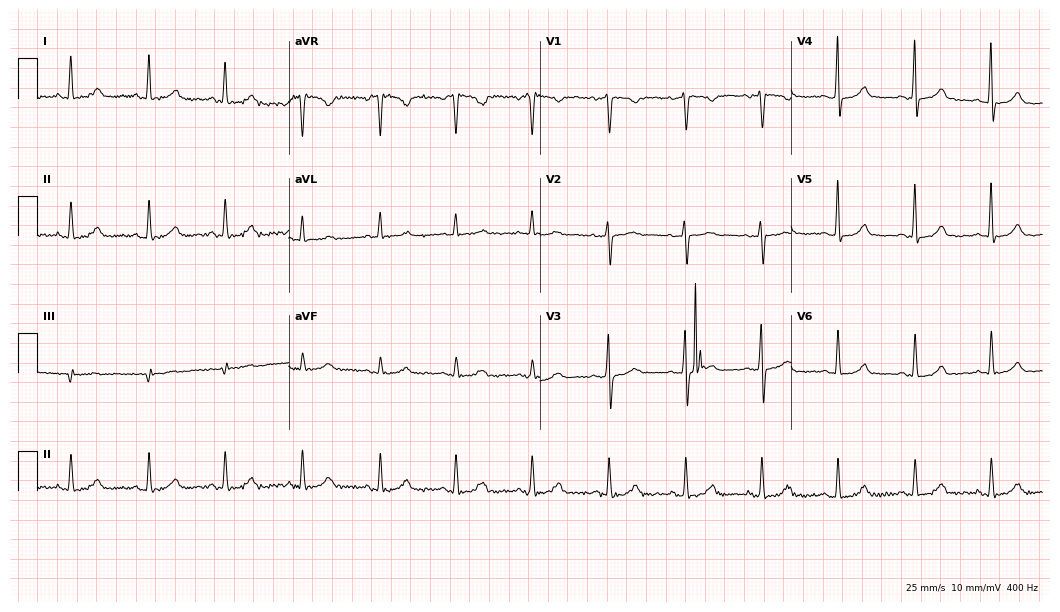
Electrocardiogram (10.2-second recording at 400 Hz), a 46-year-old woman. Overall reading on record: normal ECG.